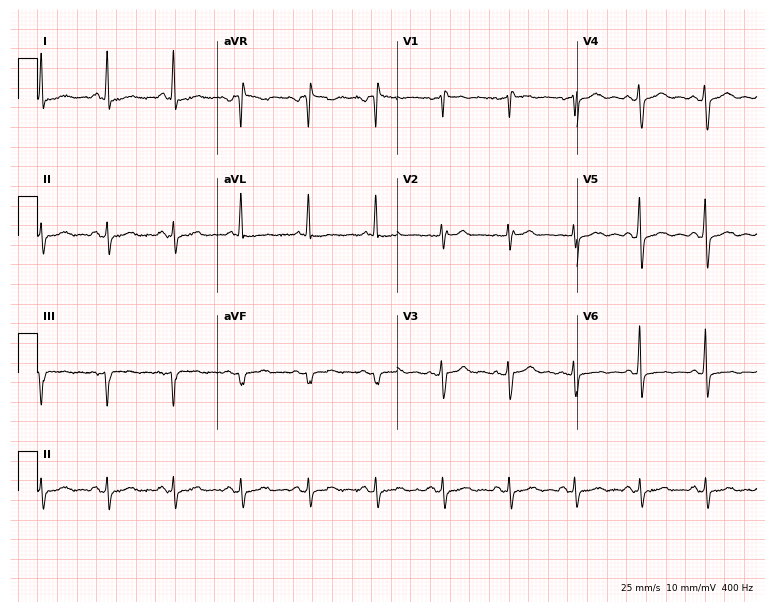
12-lead ECG from a 71-year-old man. No first-degree AV block, right bundle branch block, left bundle branch block, sinus bradycardia, atrial fibrillation or sinus tachycardia recorded for this tracing. Other findings, if any, are not listed.